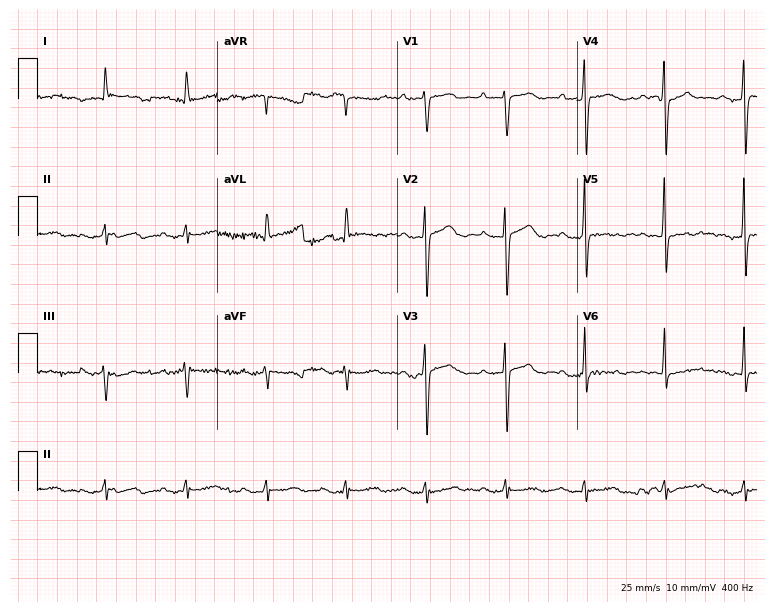
12-lead ECG from a 79-year-old man. Findings include first-degree AV block.